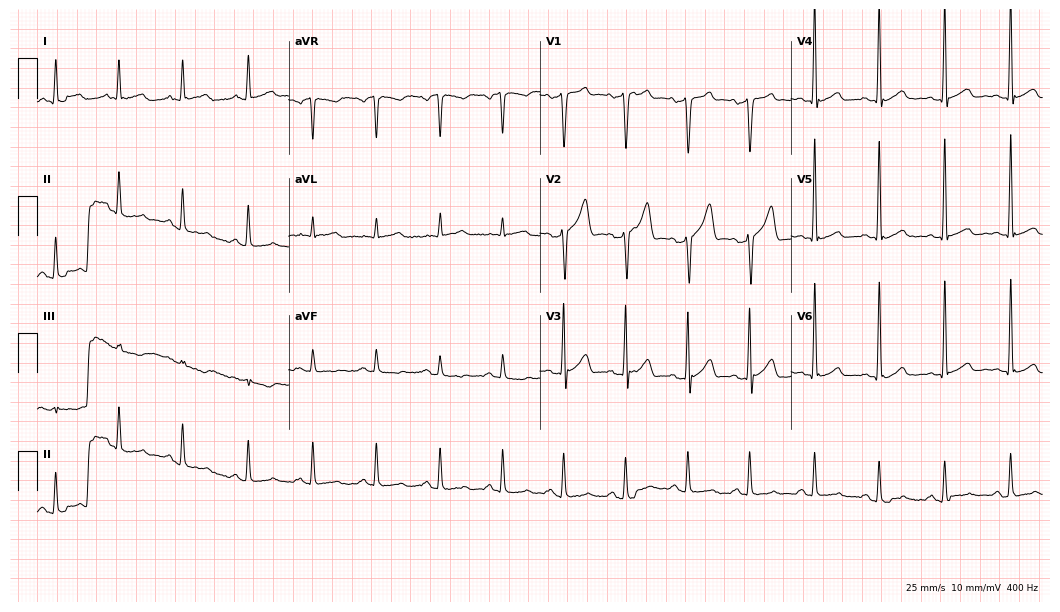
ECG — a male patient, 42 years old. Screened for six findings — first-degree AV block, right bundle branch block (RBBB), left bundle branch block (LBBB), sinus bradycardia, atrial fibrillation (AF), sinus tachycardia — none is recorded.